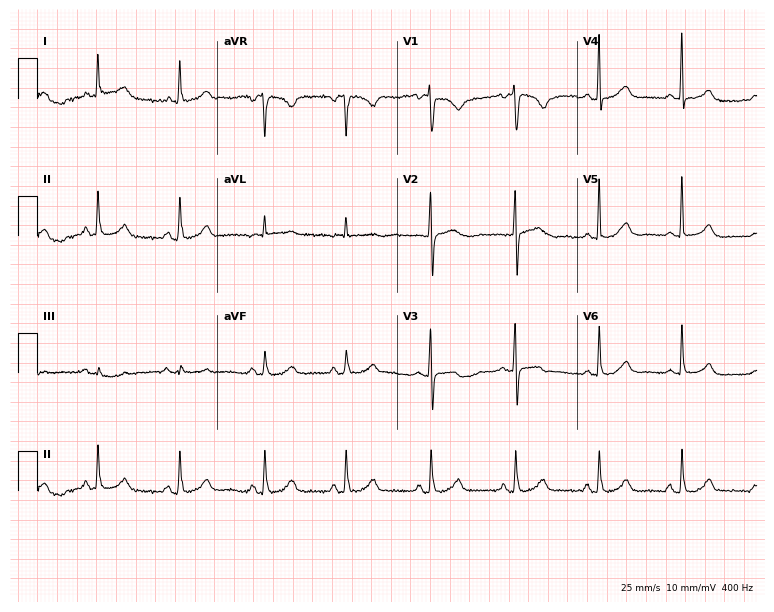
Resting 12-lead electrocardiogram. Patient: a female, 59 years old. Read as a normal ECG.